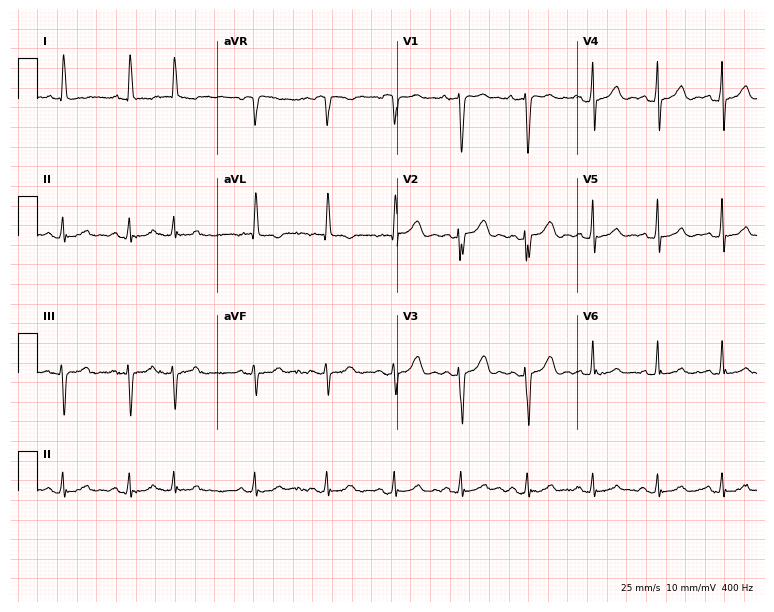
Resting 12-lead electrocardiogram (7.3-second recording at 400 Hz). Patient: a 75-year-old female. None of these six findings is recorded: first-degree AV block, right bundle branch block, left bundle branch block, sinus bradycardia, atrial fibrillation, sinus tachycardia. Only these six findings were labelled.